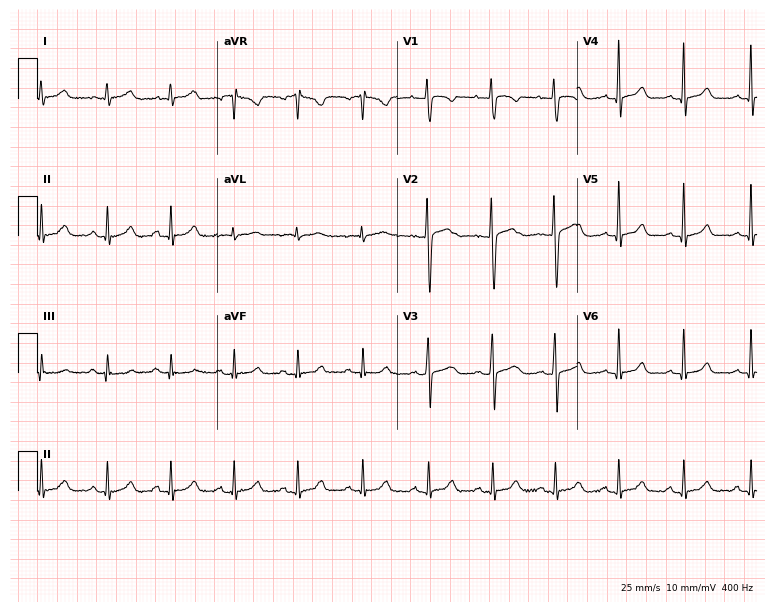
Electrocardiogram (7.3-second recording at 400 Hz), a 30-year-old woman. Overall reading on record: normal ECG.